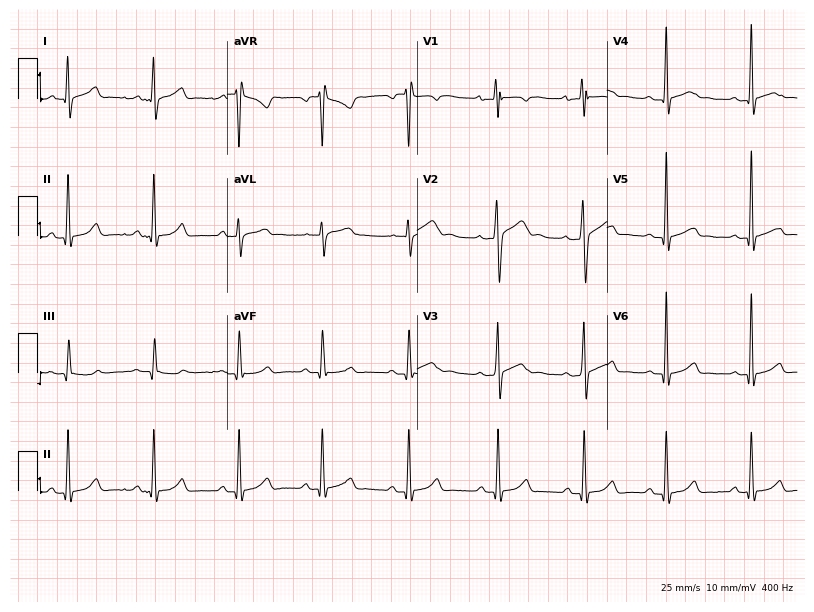
Electrocardiogram, a 21-year-old man. Of the six screened findings (first-degree AV block, right bundle branch block, left bundle branch block, sinus bradycardia, atrial fibrillation, sinus tachycardia), none is recorded. Other findings, if any, are not listed.